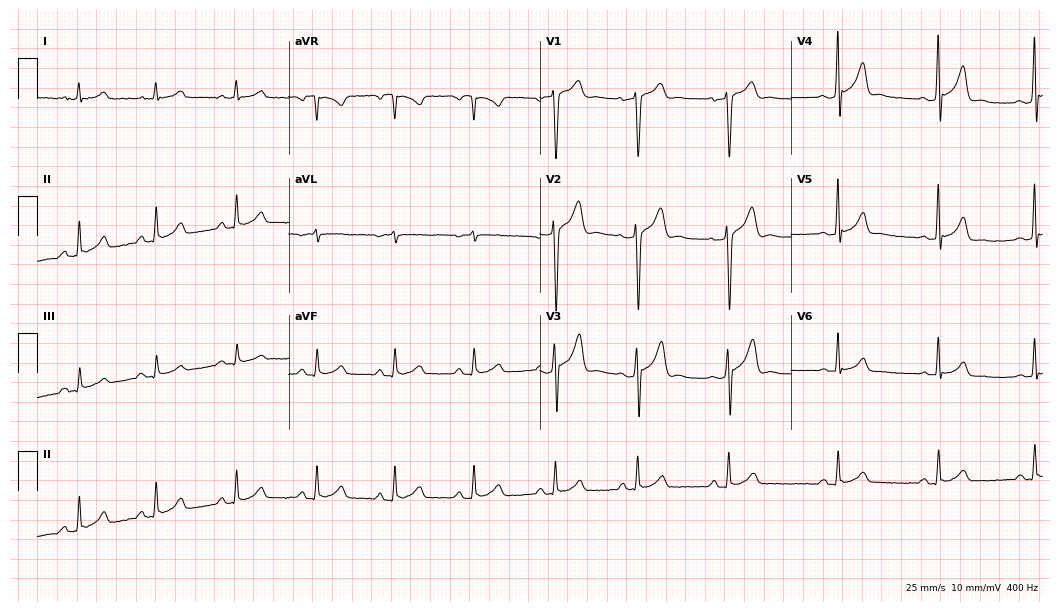
12-lead ECG (10.2-second recording at 400 Hz) from a 56-year-old man. Labelled as a normal ECG.